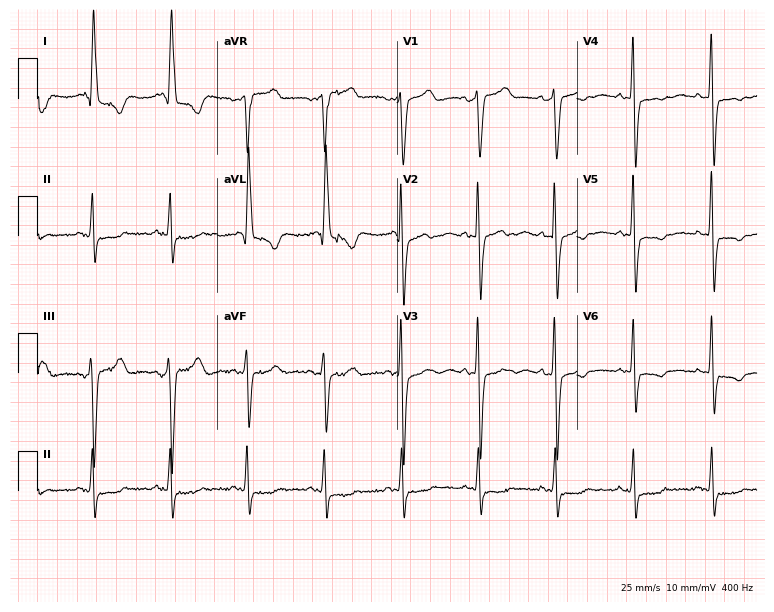
Electrocardiogram, a 78-year-old woman. Of the six screened findings (first-degree AV block, right bundle branch block (RBBB), left bundle branch block (LBBB), sinus bradycardia, atrial fibrillation (AF), sinus tachycardia), none is recorded.